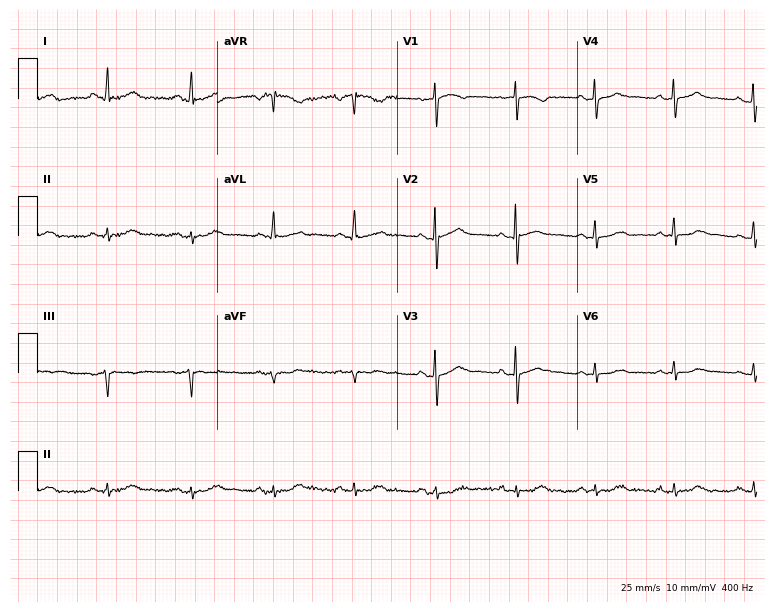
Electrocardiogram (7.3-second recording at 400 Hz), a 74-year-old female patient. Of the six screened findings (first-degree AV block, right bundle branch block, left bundle branch block, sinus bradycardia, atrial fibrillation, sinus tachycardia), none is recorded. Only these six findings were labelled.